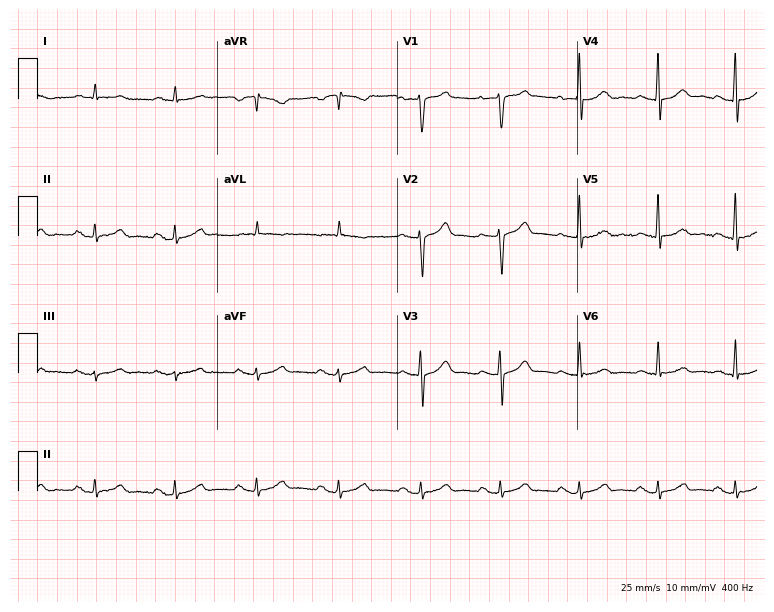
12-lead ECG from a 66-year-old man. Recorded interpretation: within normal limits.